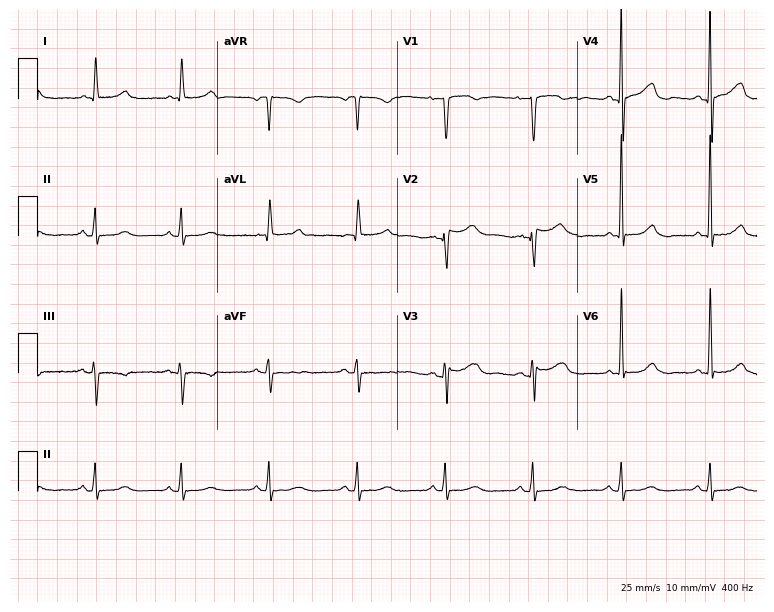
Electrocardiogram (7.3-second recording at 400 Hz), a female patient, 79 years old. Of the six screened findings (first-degree AV block, right bundle branch block, left bundle branch block, sinus bradycardia, atrial fibrillation, sinus tachycardia), none is recorded.